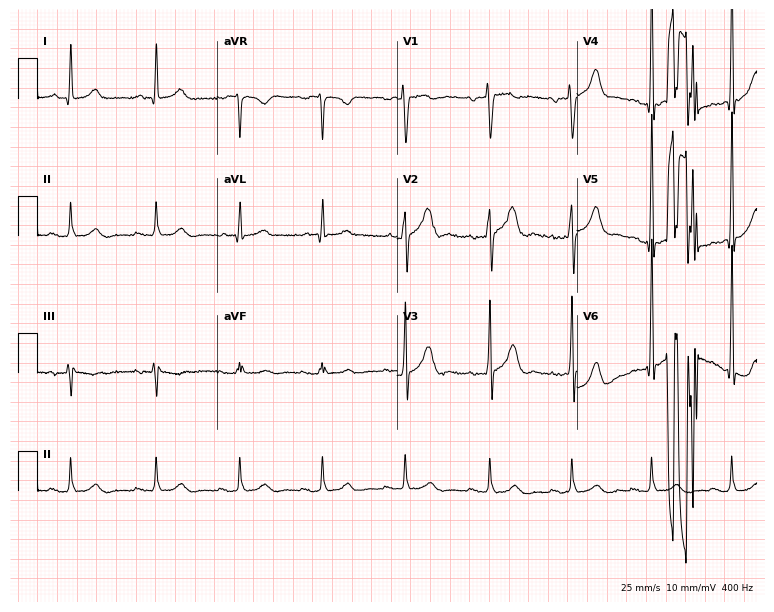
12-lead ECG from a 52-year-old male patient. Screened for six findings — first-degree AV block, right bundle branch block, left bundle branch block, sinus bradycardia, atrial fibrillation, sinus tachycardia — none is recorded.